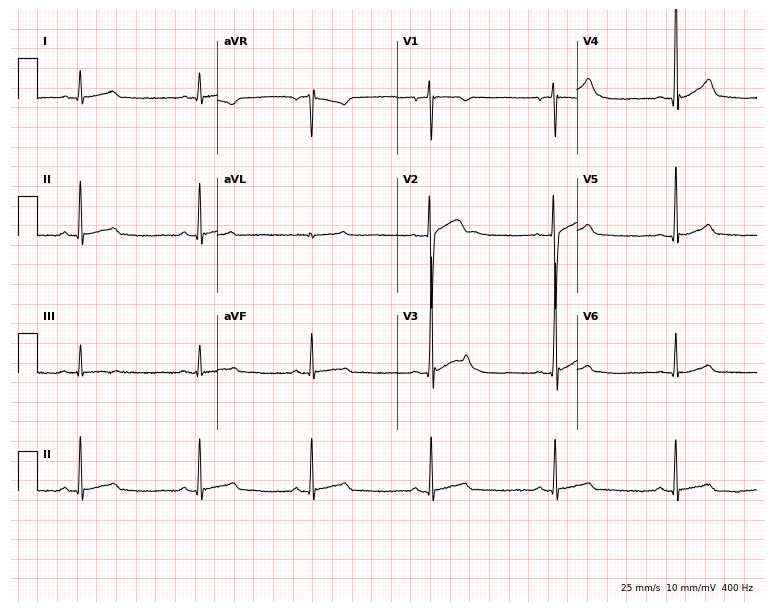
12-lead ECG (7.3-second recording at 400 Hz) from a 22-year-old male patient. Findings include sinus bradycardia (a sinus rate of 50 beats per minute or less).